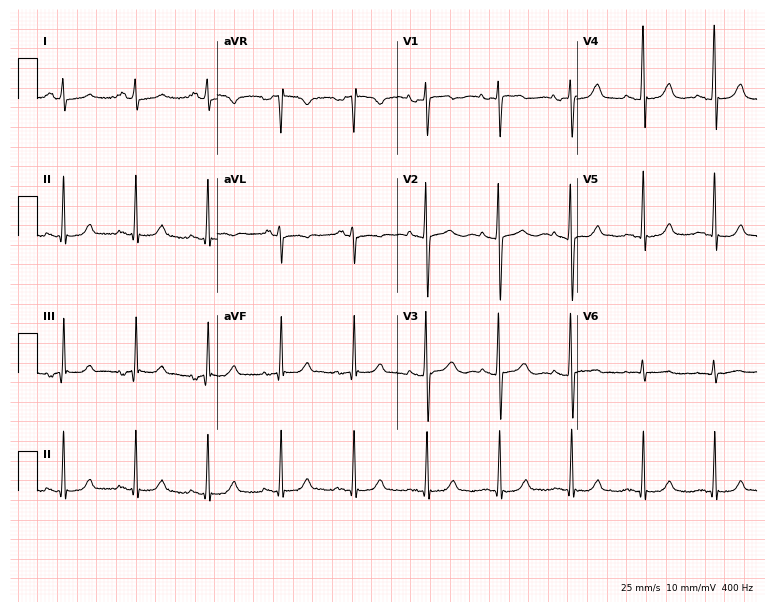
Standard 12-lead ECG recorded from a female, 30 years old. Read as a normal ECG.